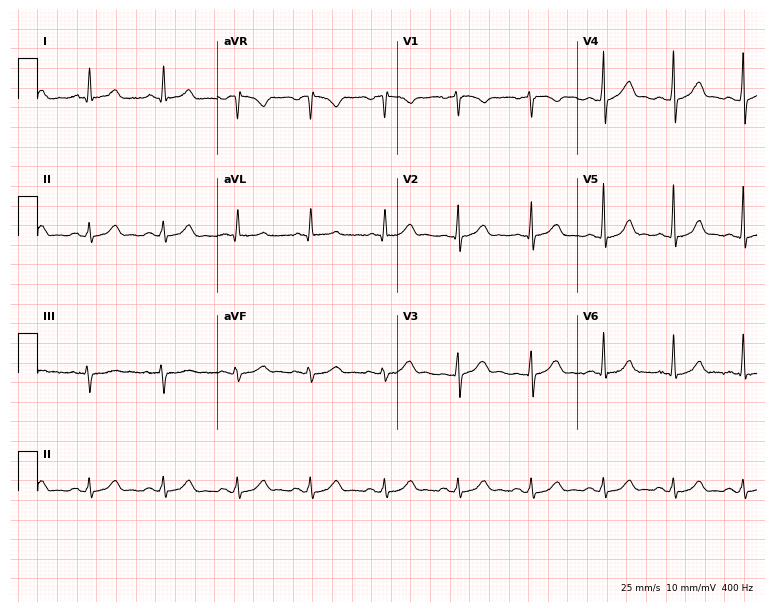
12-lead ECG from a male patient, 62 years old. Labelled as a normal ECG.